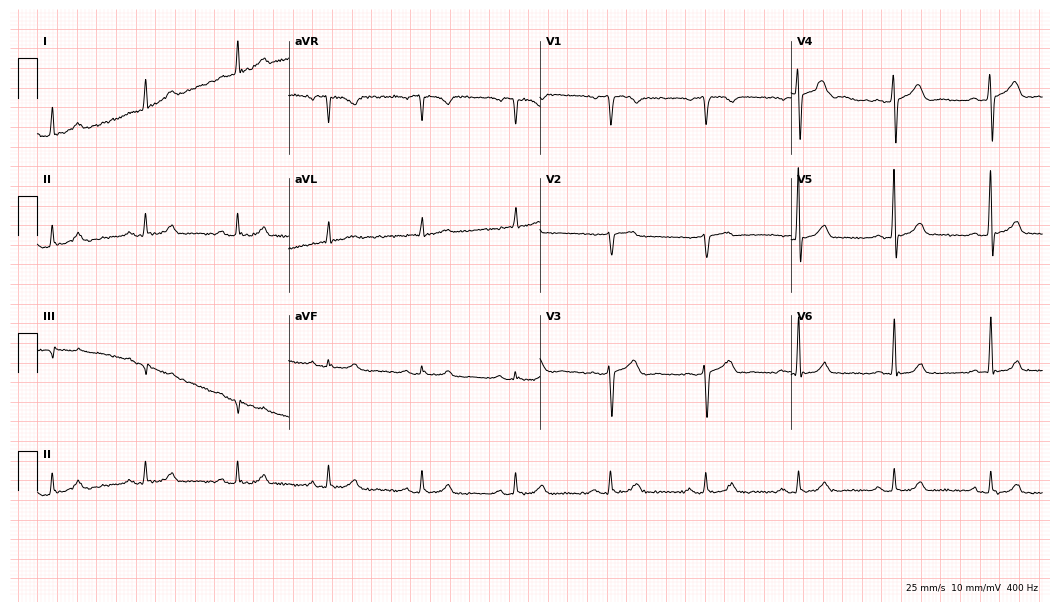
12-lead ECG (10.2-second recording at 400 Hz) from a man, 55 years old. Labelled as a normal ECG.